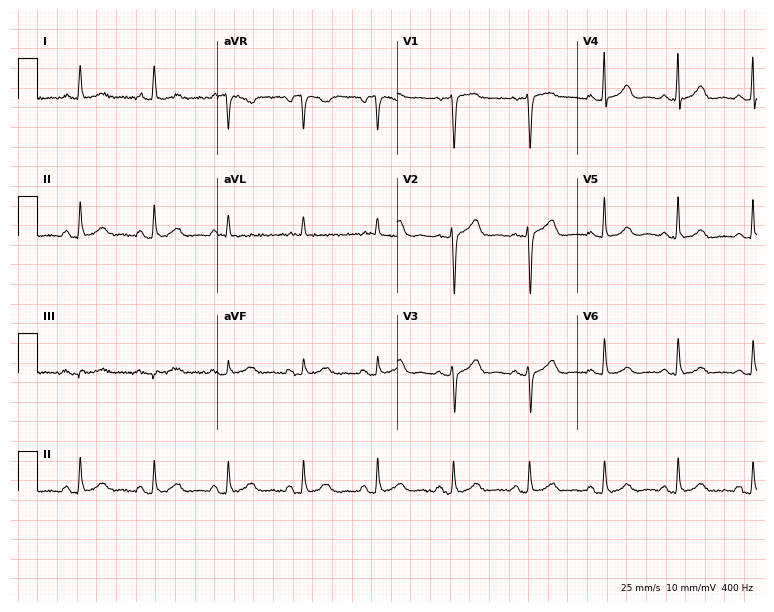
12-lead ECG (7.3-second recording at 400 Hz) from a 79-year-old female. Labelled as a normal ECG.